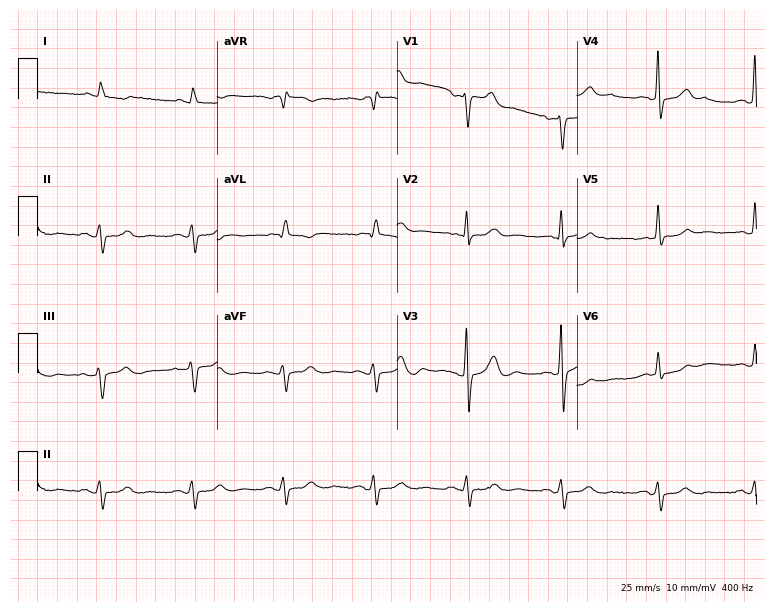
ECG (7.3-second recording at 400 Hz) — a male, 64 years old. Screened for six findings — first-degree AV block, right bundle branch block, left bundle branch block, sinus bradycardia, atrial fibrillation, sinus tachycardia — none is recorded. Findings outside these six are not listed.